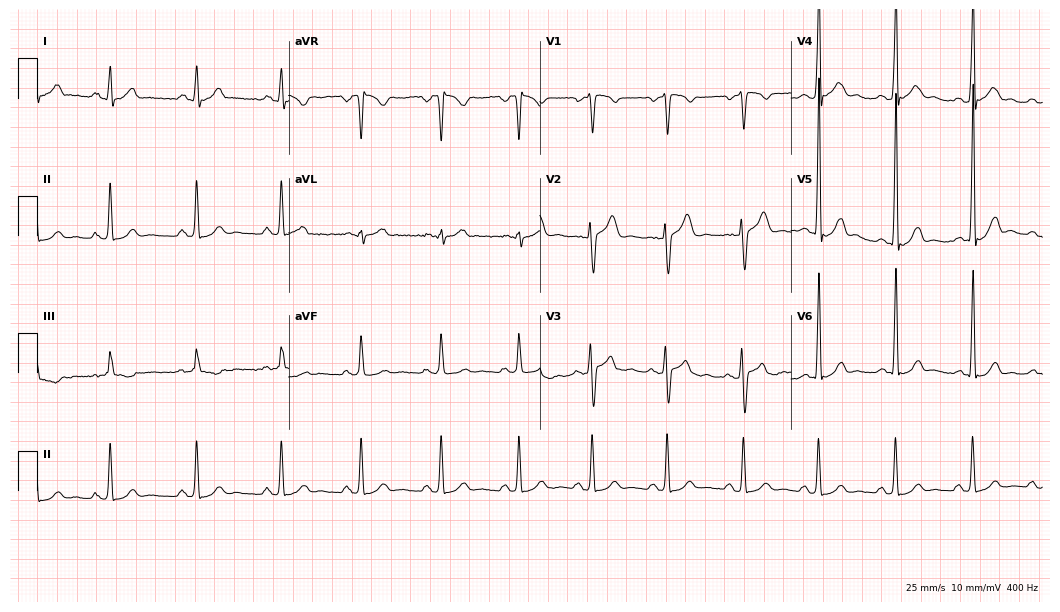
Standard 12-lead ECG recorded from a man, 18 years old (10.2-second recording at 400 Hz). Read as a normal ECG.